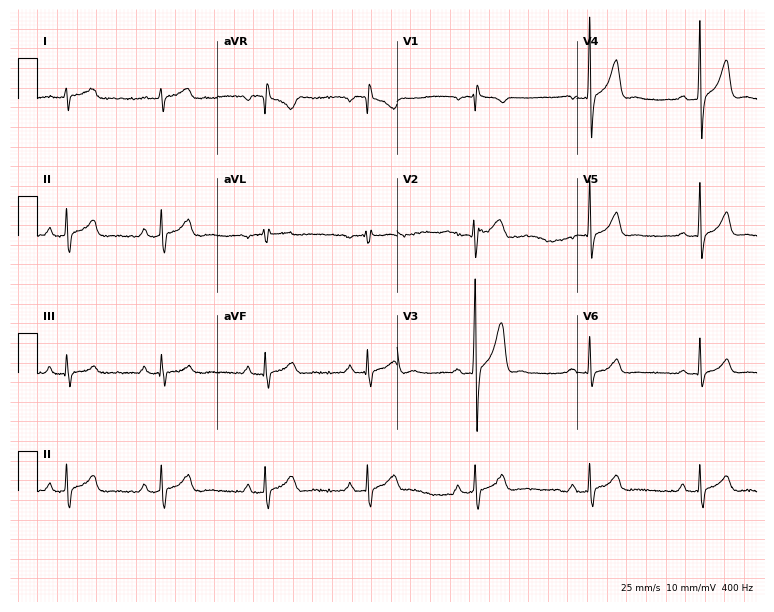
12-lead ECG from a 28-year-old man. Recorded interpretation: within normal limits.